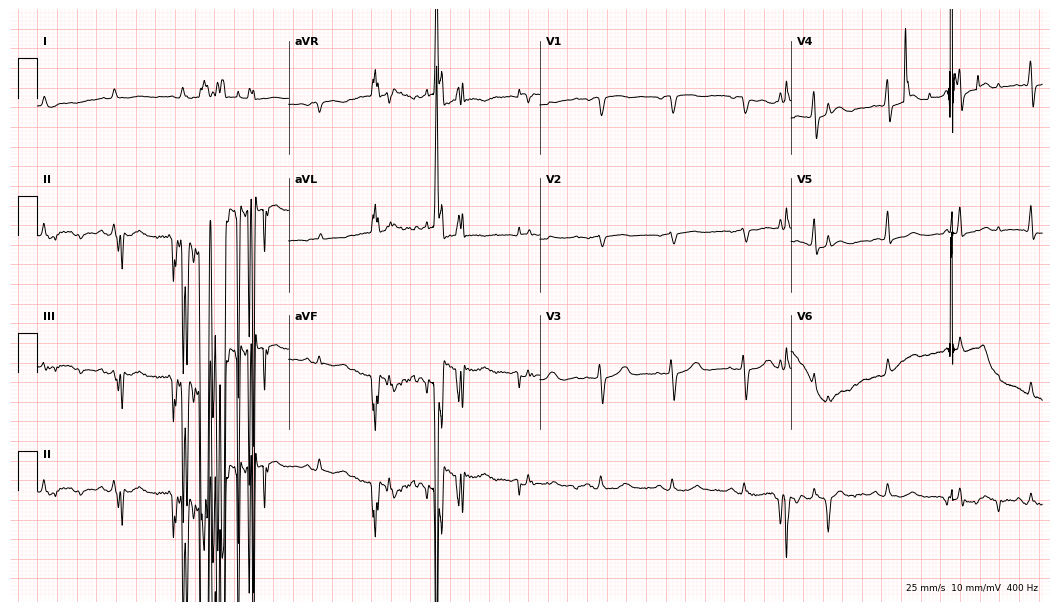
Standard 12-lead ECG recorded from an 84-year-old male patient (10.2-second recording at 400 Hz). None of these six findings is recorded: first-degree AV block, right bundle branch block, left bundle branch block, sinus bradycardia, atrial fibrillation, sinus tachycardia.